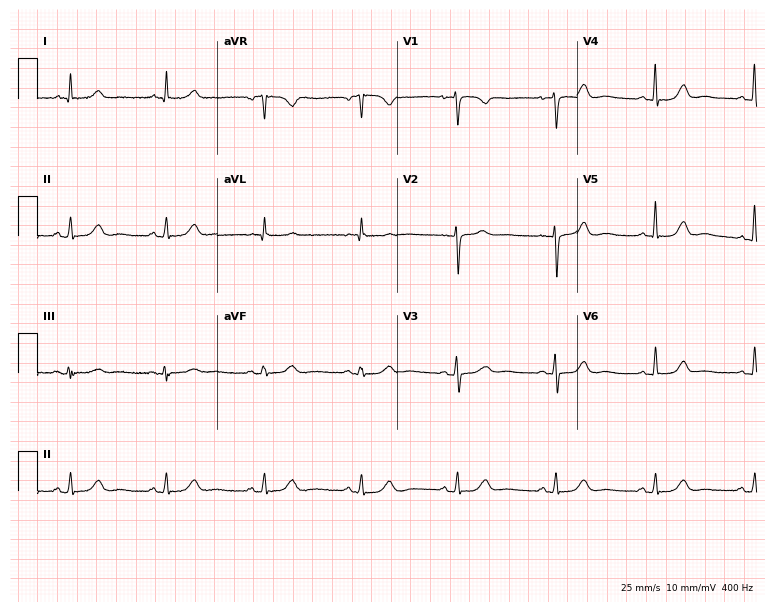
Resting 12-lead electrocardiogram. Patient: a woman, 60 years old. Read as a normal ECG.